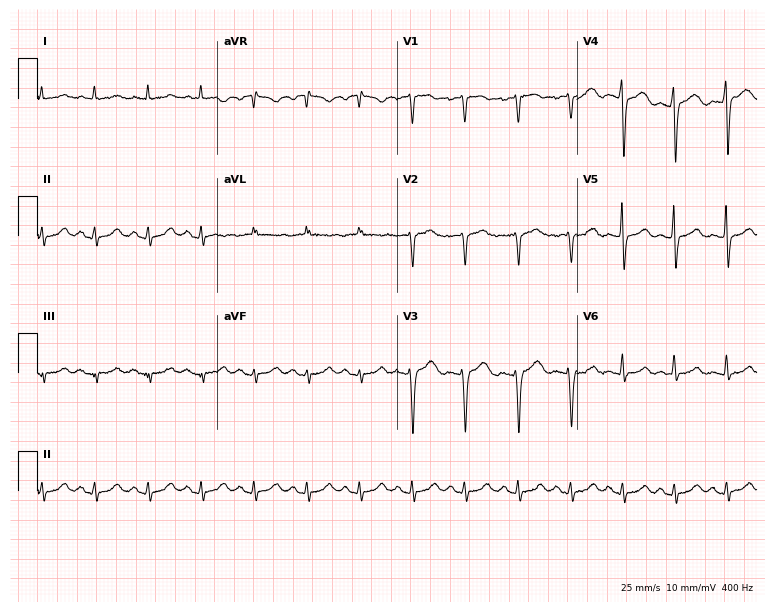
Electrocardiogram (7.3-second recording at 400 Hz), a woman, 48 years old. Interpretation includes sinus tachycardia (a sinus rate of 100 beats per minute or more).